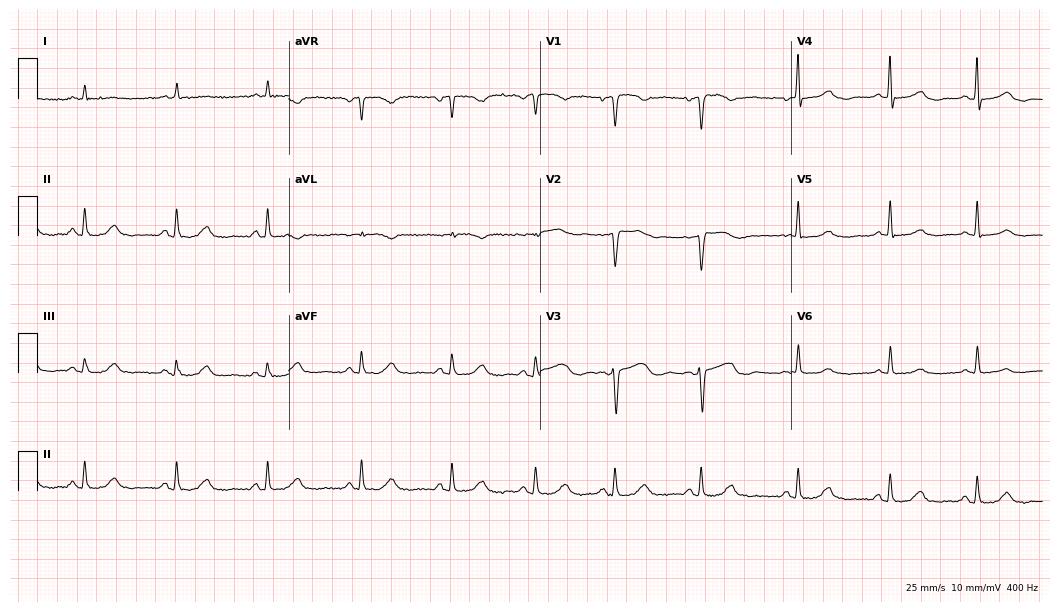
Resting 12-lead electrocardiogram (10.2-second recording at 400 Hz). Patient: a female, 60 years old. None of these six findings is recorded: first-degree AV block, right bundle branch block, left bundle branch block, sinus bradycardia, atrial fibrillation, sinus tachycardia. Other findings, if any, are not listed.